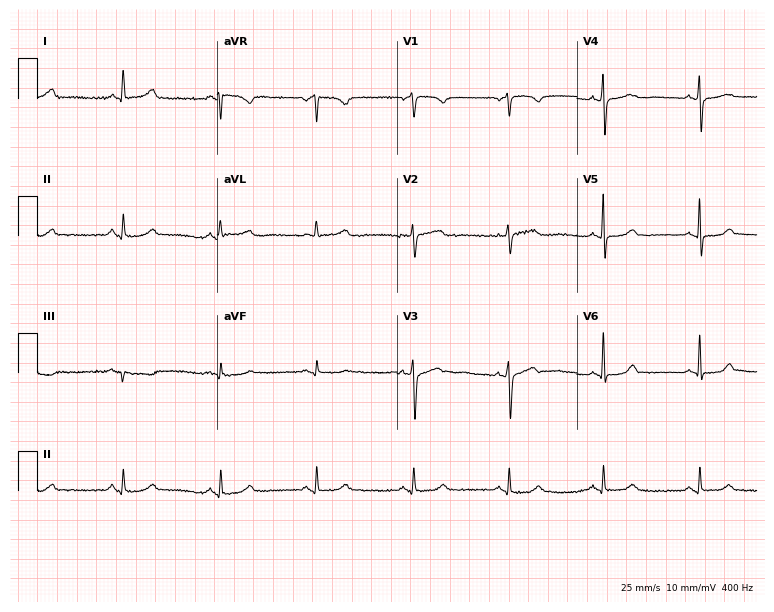
Standard 12-lead ECG recorded from a 68-year-old female (7.3-second recording at 400 Hz). None of these six findings is recorded: first-degree AV block, right bundle branch block, left bundle branch block, sinus bradycardia, atrial fibrillation, sinus tachycardia.